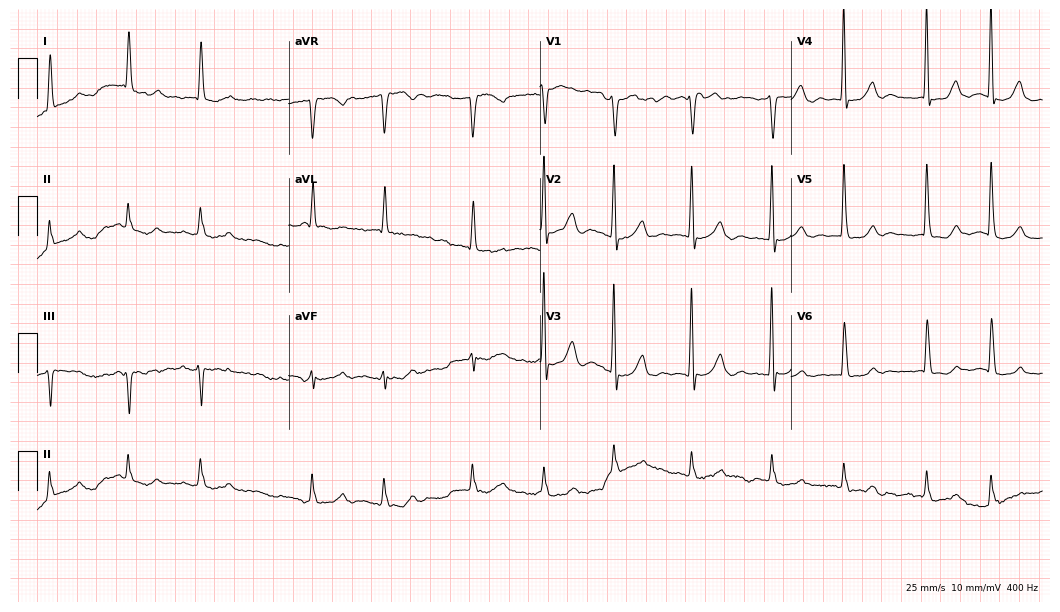
12-lead ECG from a female patient, 83 years old (10.2-second recording at 400 Hz). Shows atrial fibrillation.